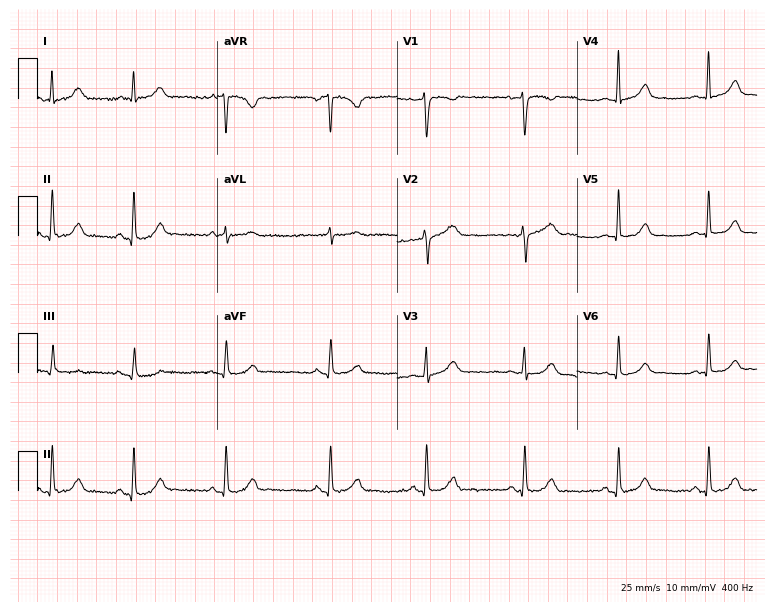
ECG — a 43-year-old female. Labelled as a normal ECG.